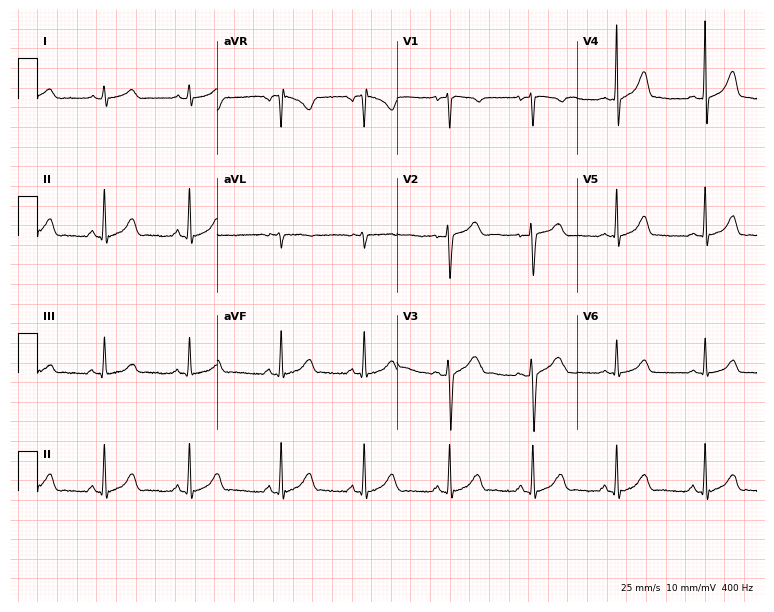
Electrocardiogram (7.3-second recording at 400 Hz), a female, 20 years old. Overall reading on record: normal ECG.